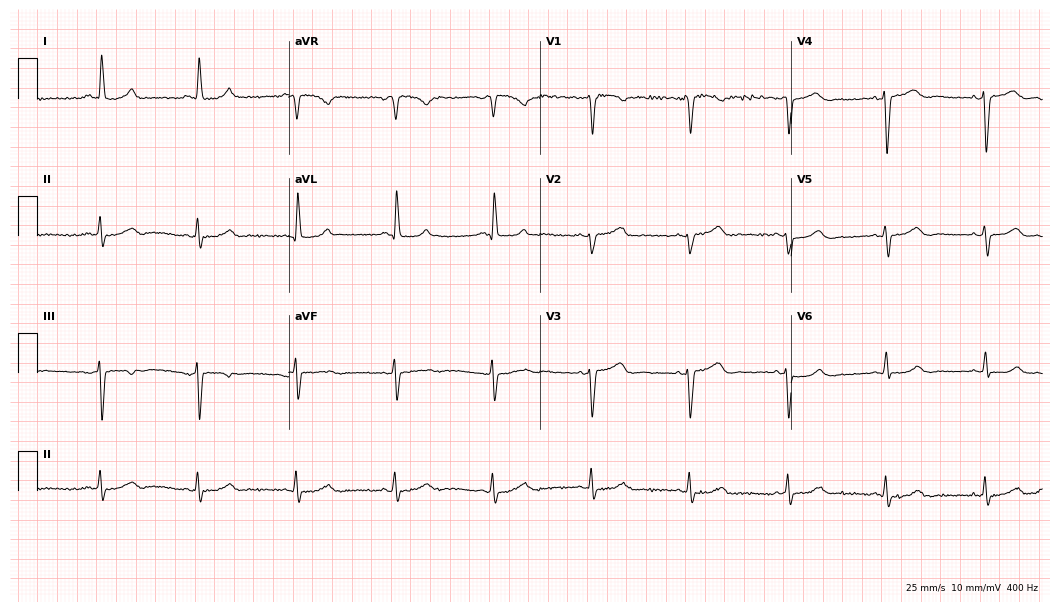
Resting 12-lead electrocardiogram. Patient: an 81-year-old female. Read as a normal ECG.